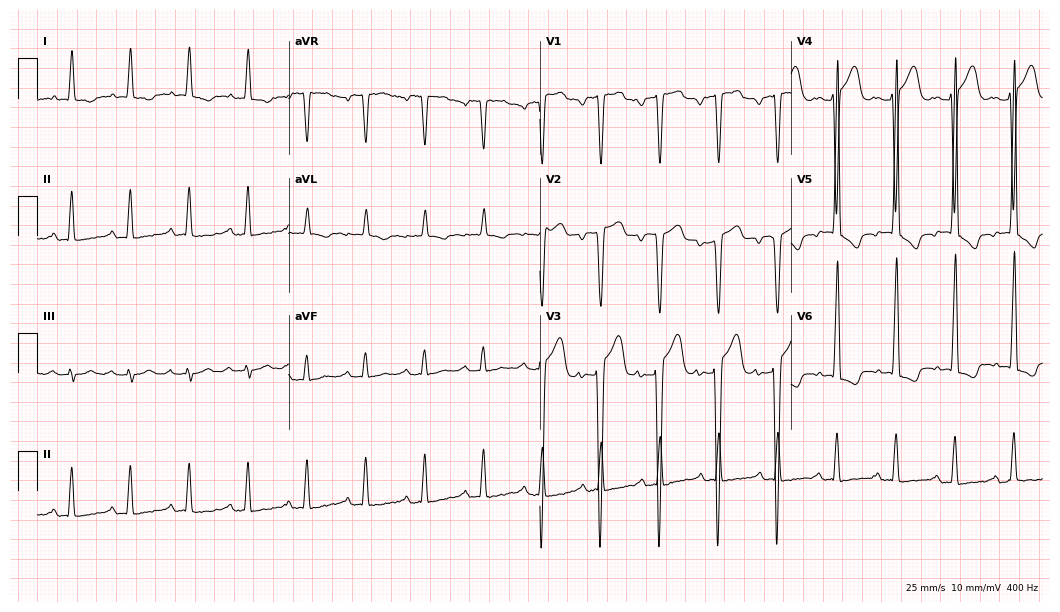
ECG — a 79-year-old man. Findings include first-degree AV block, sinus tachycardia (a sinus rate of 100 beats per minute or more).